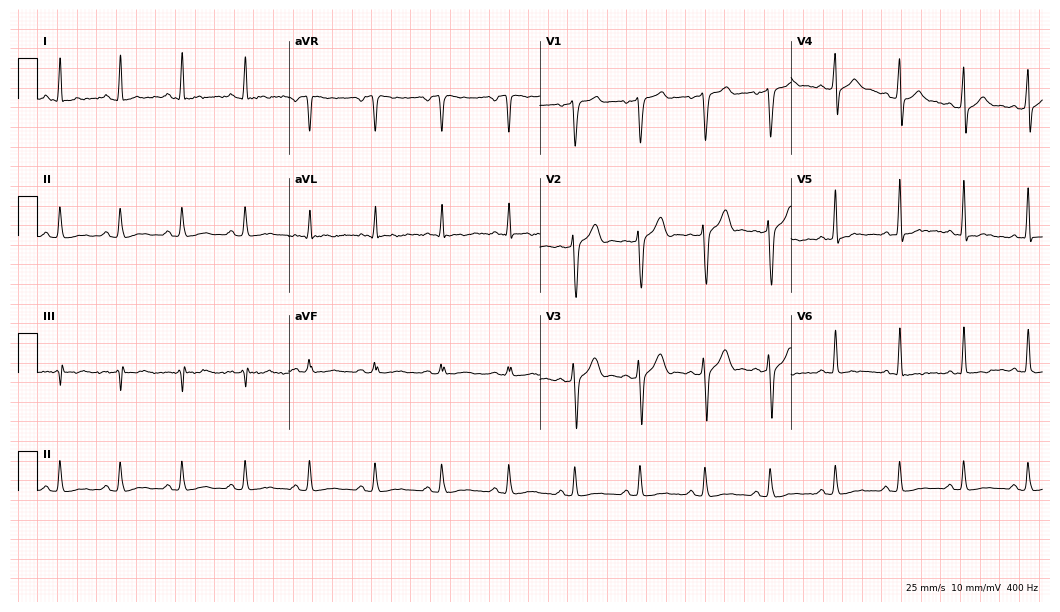
Resting 12-lead electrocardiogram. Patient: a 42-year-old man. Read as a normal ECG.